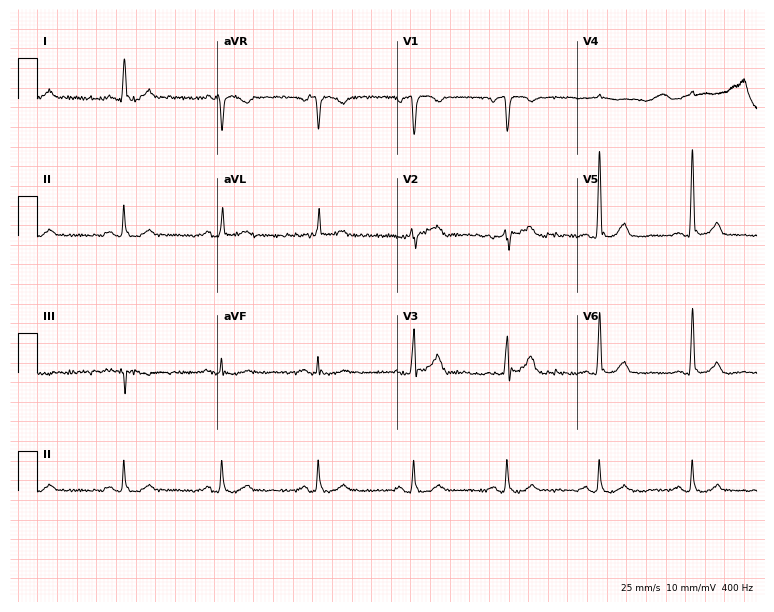
12-lead ECG from a 75-year-old male. No first-degree AV block, right bundle branch block, left bundle branch block, sinus bradycardia, atrial fibrillation or sinus tachycardia recorded for this tracing. Only these six findings were labelled.